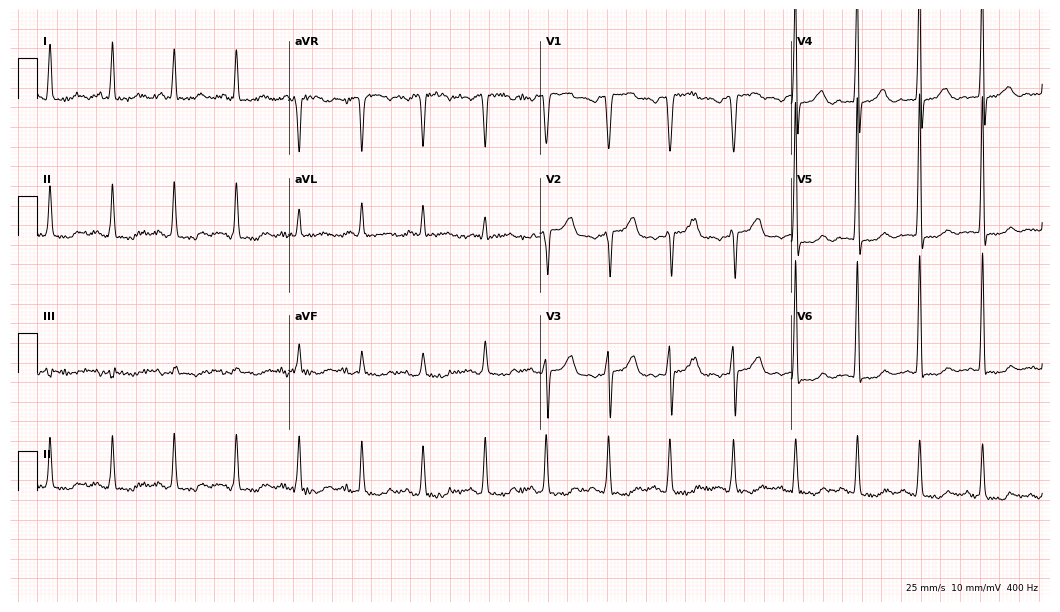
Electrocardiogram, a 68-year-old female. Of the six screened findings (first-degree AV block, right bundle branch block (RBBB), left bundle branch block (LBBB), sinus bradycardia, atrial fibrillation (AF), sinus tachycardia), none is recorded. Findings outside these six are not listed.